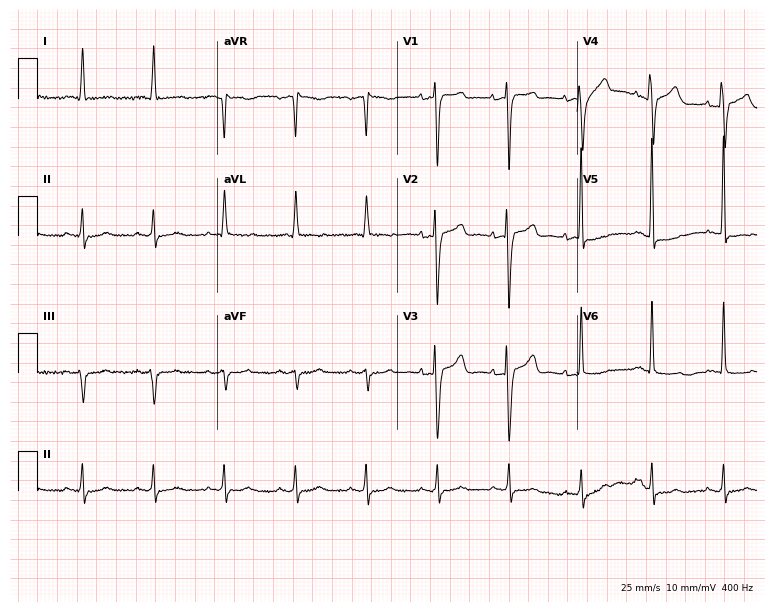
12-lead ECG from an 83-year-old female. No first-degree AV block, right bundle branch block, left bundle branch block, sinus bradycardia, atrial fibrillation or sinus tachycardia recorded for this tracing. Other findings, if any, are not listed.